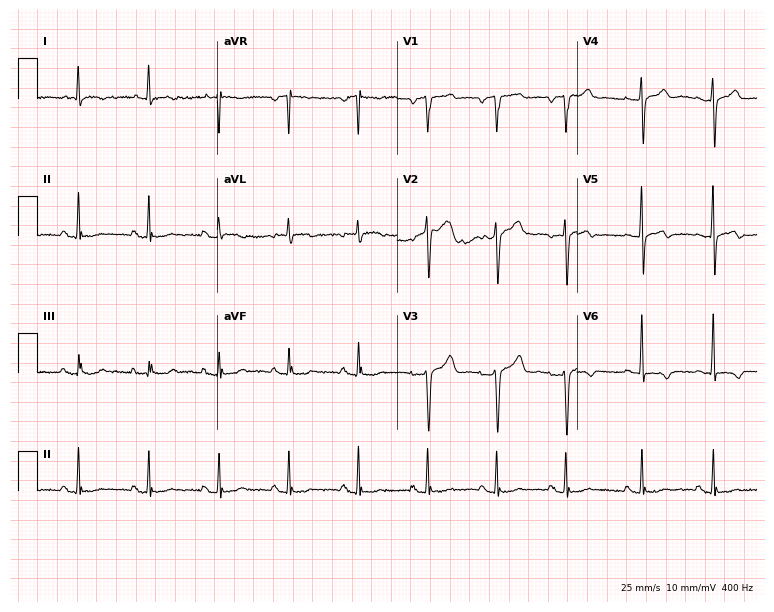
Resting 12-lead electrocardiogram (7.3-second recording at 400 Hz). Patient: a woman, 67 years old. None of these six findings is recorded: first-degree AV block, right bundle branch block, left bundle branch block, sinus bradycardia, atrial fibrillation, sinus tachycardia. Other findings, if any, are not listed.